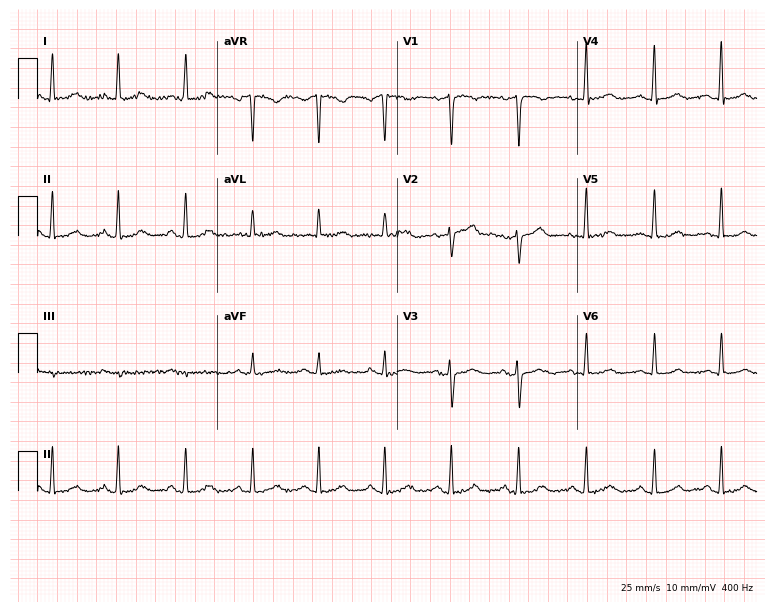
Standard 12-lead ECG recorded from a woman, 46 years old. None of these six findings is recorded: first-degree AV block, right bundle branch block (RBBB), left bundle branch block (LBBB), sinus bradycardia, atrial fibrillation (AF), sinus tachycardia. Only these six findings were labelled.